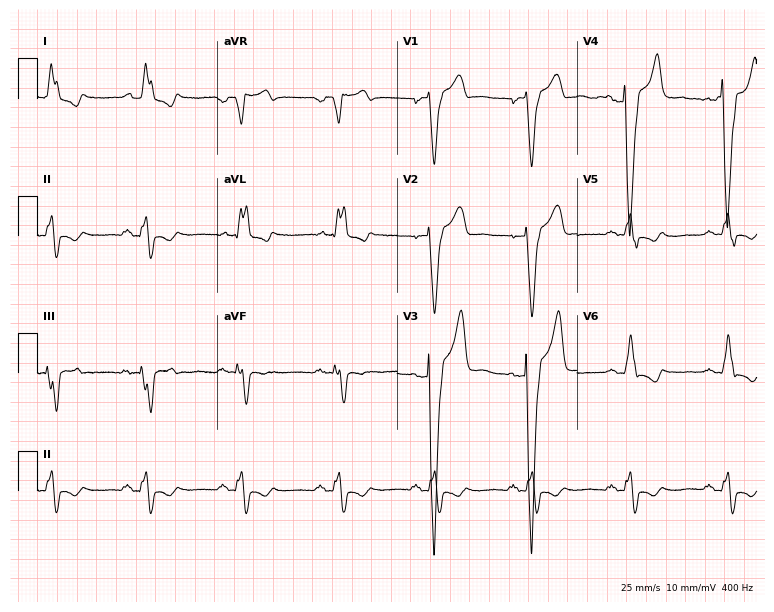
12-lead ECG from a 51-year-old female patient. No first-degree AV block, right bundle branch block, left bundle branch block, sinus bradycardia, atrial fibrillation or sinus tachycardia recorded for this tracing. Findings outside these six are not listed.